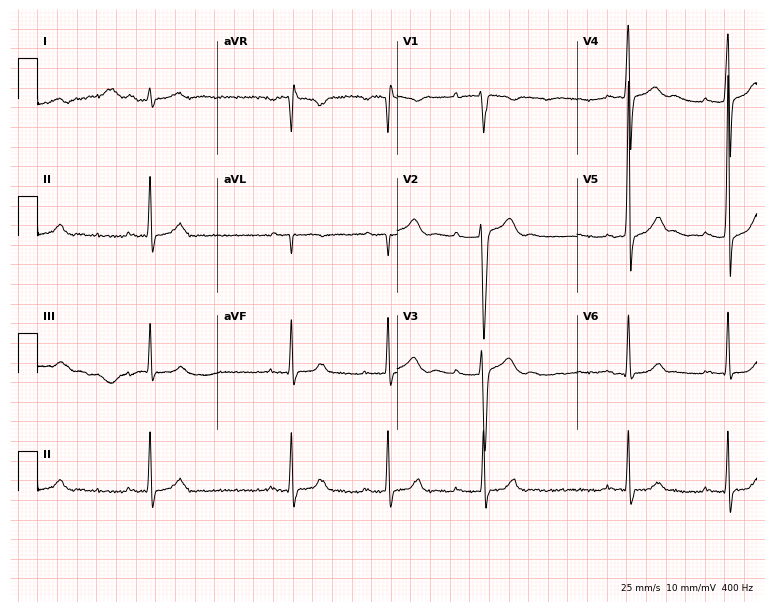
12-lead ECG from a man, 23 years old. No first-degree AV block, right bundle branch block (RBBB), left bundle branch block (LBBB), sinus bradycardia, atrial fibrillation (AF) or sinus tachycardia recorded for this tracing. Findings outside these six are not listed.